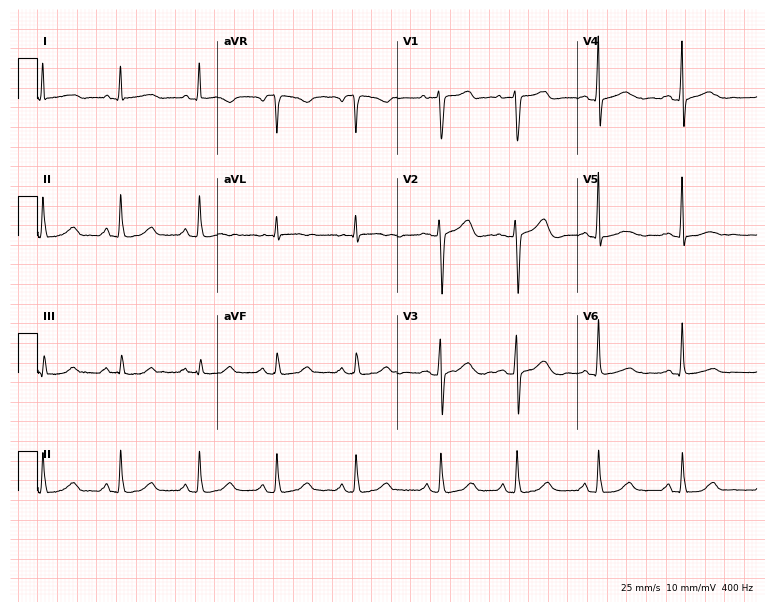
ECG (7.3-second recording at 400 Hz) — a female patient, 53 years old. Labelled as a normal ECG.